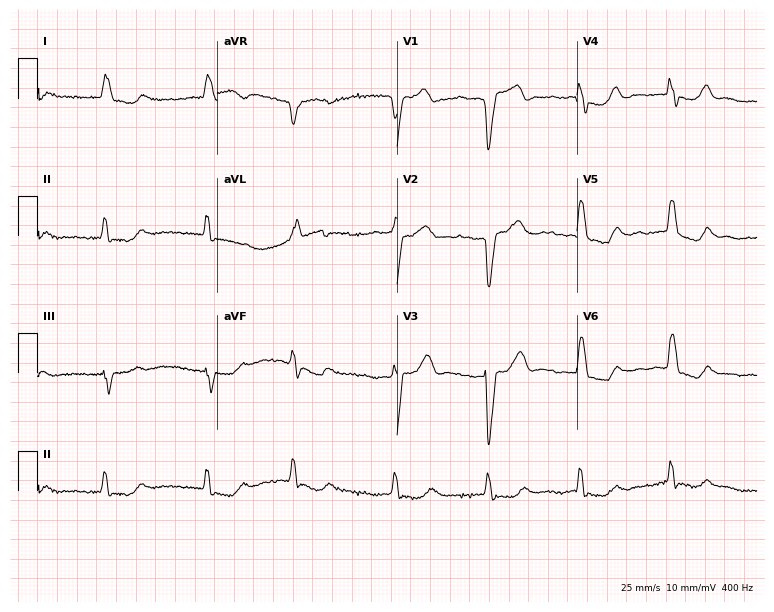
Electrocardiogram (7.3-second recording at 400 Hz), a woman, 73 years old. Interpretation includes left bundle branch block (LBBB), atrial fibrillation (AF).